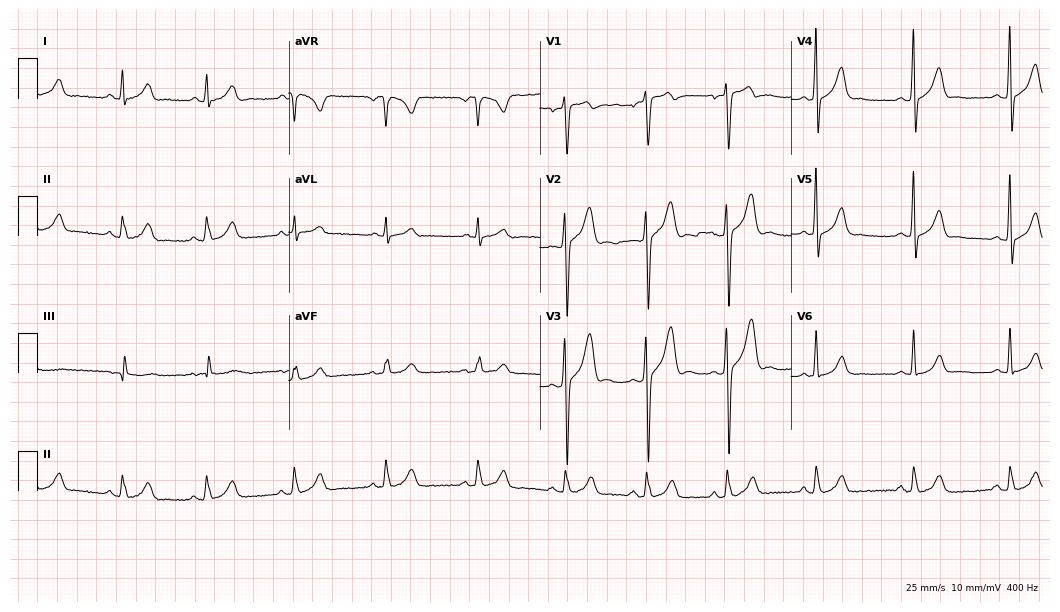
12-lead ECG from a 33-year-old man. Screened for six findings — first-degree AV block, right bundle branch block, left bundle branch block, sinus bradycardia, atrial fibrillation, sinus tachycardia — none is recorded. Findings outside these six are not listed.